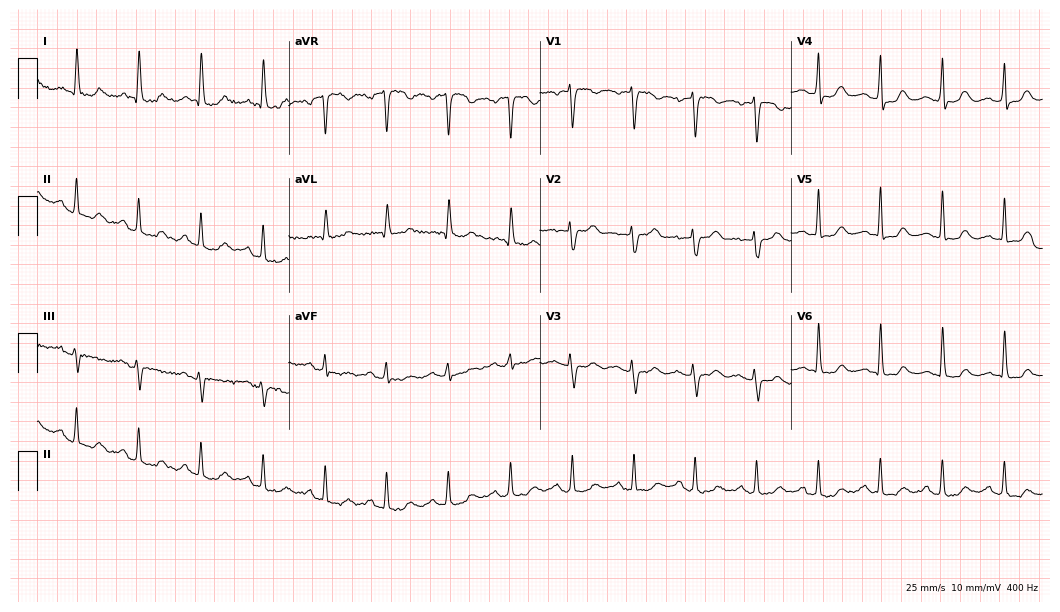
12-lead ECG from a 76-year-old woman (10.2-second recording at 400 Hz). No first-degree AV block, right bundle branch block, left bundle branch block, sinus bradycardia, atrial fibrillation or sinus tachycardia recorded for this tracing. Only these six findings were labelled.